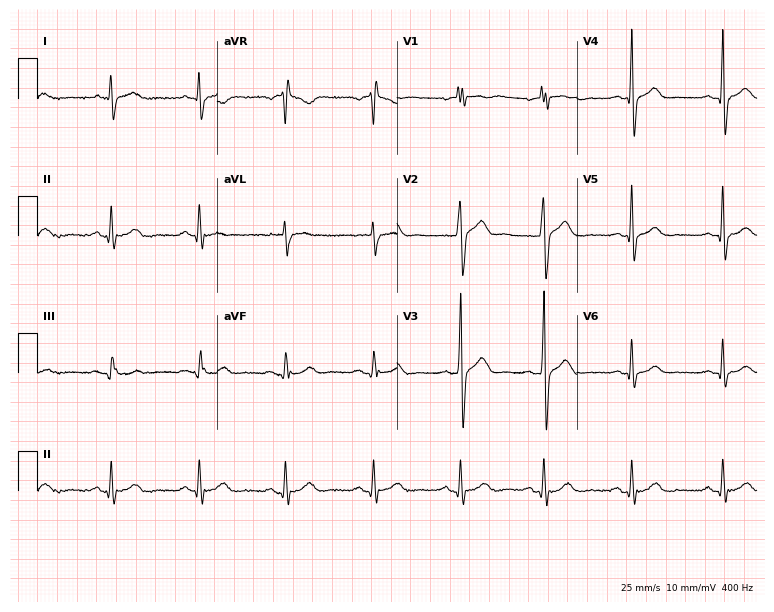
ECG (7.3-second recording at 400 Hz) — a 38-year-old male patient. Screened for six findings — first-degree AV block, right bundle branch block (RBBB), left bundle branch block (LBBB), sinus bradycardia, atrial fibrillation (AF), sinus tachycardia — none is recorded. Findings outside these six are not listed.